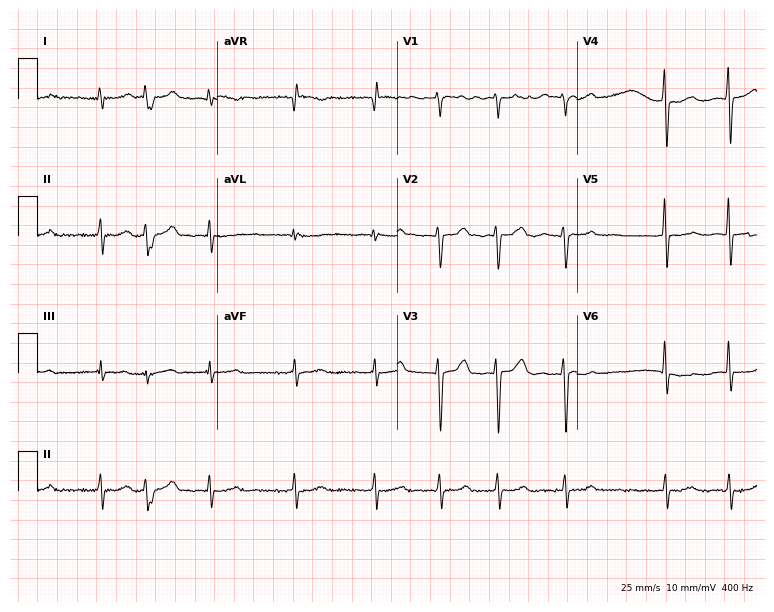
12-lead ECG from a female, 84 years old. No first-degree AV block, right bundle branch block (RBBB), left bundle branch block (LBBB), sinus bradycardia, atrial fibrillation (AF) or sinus tachycardia recorded for this tracing. Findings outside these six are not listed.